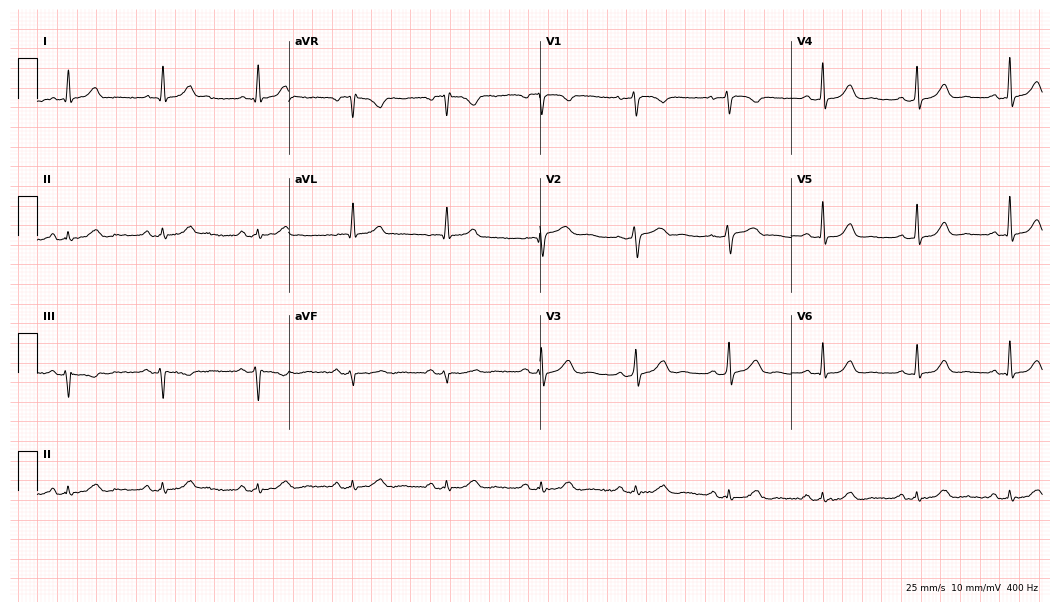
12-lead ECG from a 54-year-old woman (10.2-second recording at 400 Hz). No first-degree AV block, right bundle branch block (RBBB), left bundle branch block (LBBB), sinus bradycardia, atrial fibrillation (AF) or sinus tachycardia recorded for this tracing. Only these six findings were labelled.